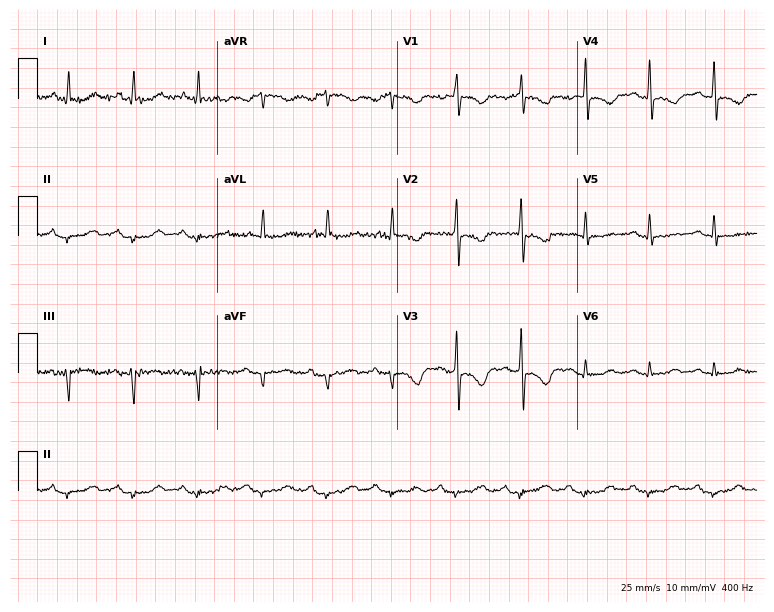
Resting 12-lead electrocardiogram. Patient: a female, 67 years old. None of these six findings is recorded: first-degree AV block, right bundle branch block, left bundle branch block, sinus bradycardia, atrial fibrillation, sinus tachycardia.